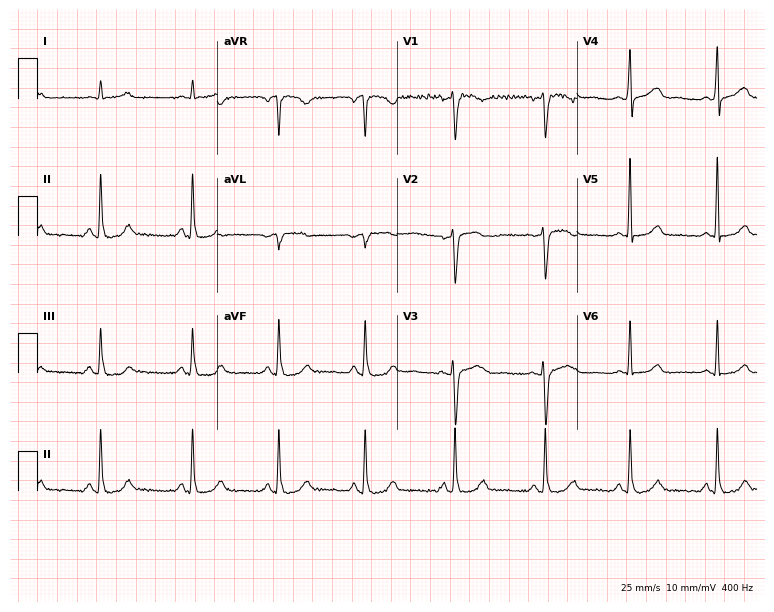
12-lead ECG from a 46-year-old woman (7.3-second recording at 400 Hz). No first-degree AV block, right bundle branch block (RBBB), left bundle branch block (LBBB), sinus bradycardia, atrial fibrillation (AF) or sinus tachycardia recorded for this tracing. Only these six findings were labelled.